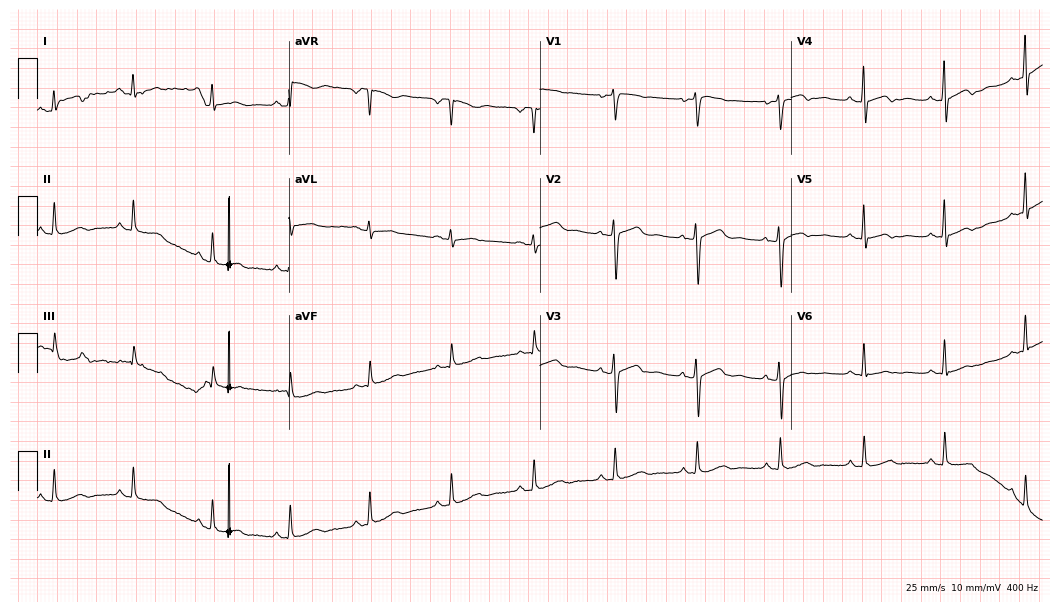
Electrocardiogram (10.2-second recording at 400 Hz), a female, 52 years old. Overall reading on record: normal ECG.